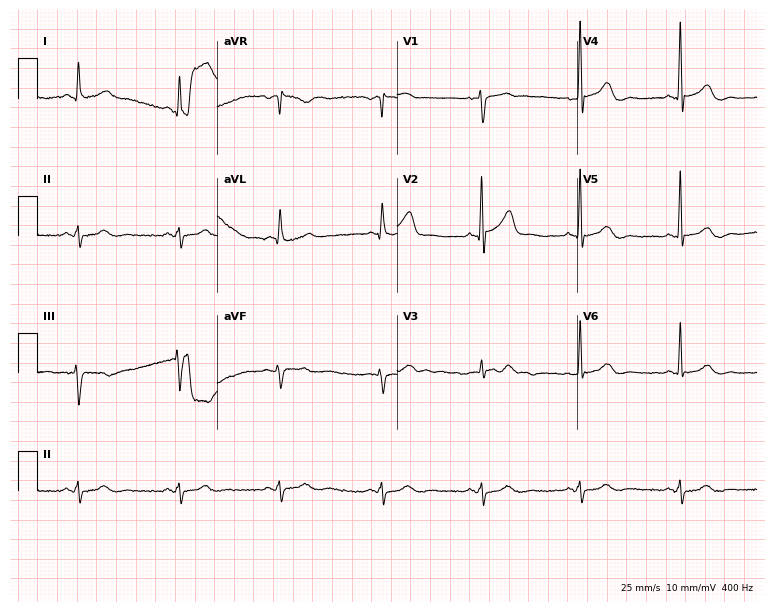
12-lead ECG from a 70-year-old man. No first-degree AV block, right bundle branch block (RBBB), left bundle branch block (LBBB), sinus bradycardia, atrial fibrillation (AF) or sinus tachycardia recorded for this tracing.